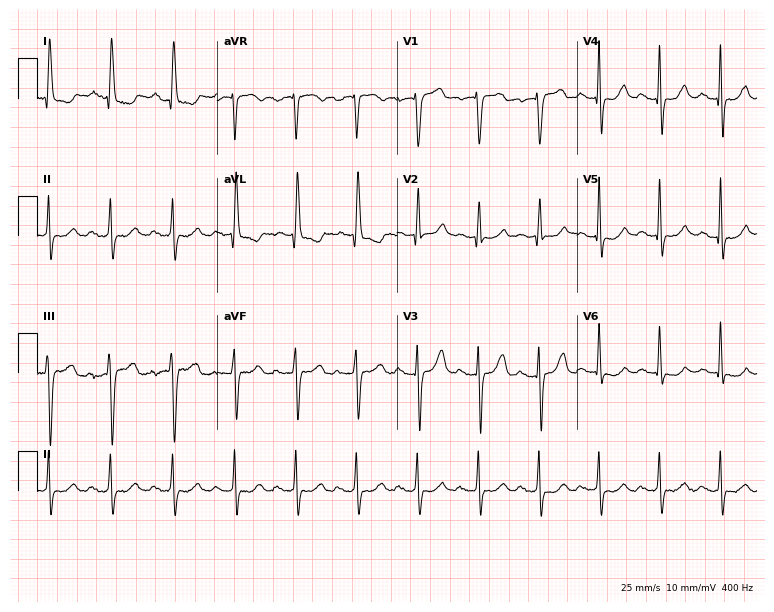
ECG (7.3-second recording at 400 Hz) — a 79-year-old female patient. Screened for six findings — first-degree AV block, right bundle branch block (RBBB), left bundle branch block (LBBB), sinus bradycardia, atrial fibrillation (AF), sinus tachycardia — none is recorded. Findings outside these six are not listed.